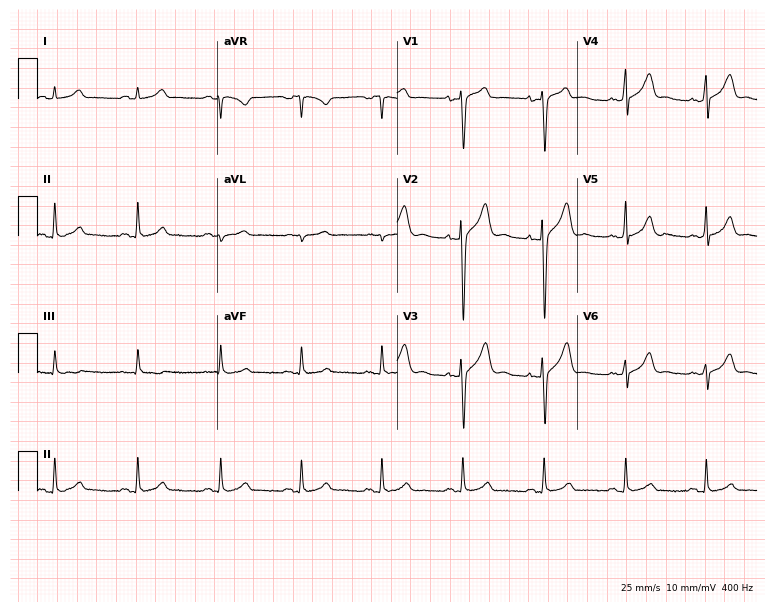
Resting 12-lead electrocardiogram. Patient: a 36-year-old male. Read as a normal ECG.